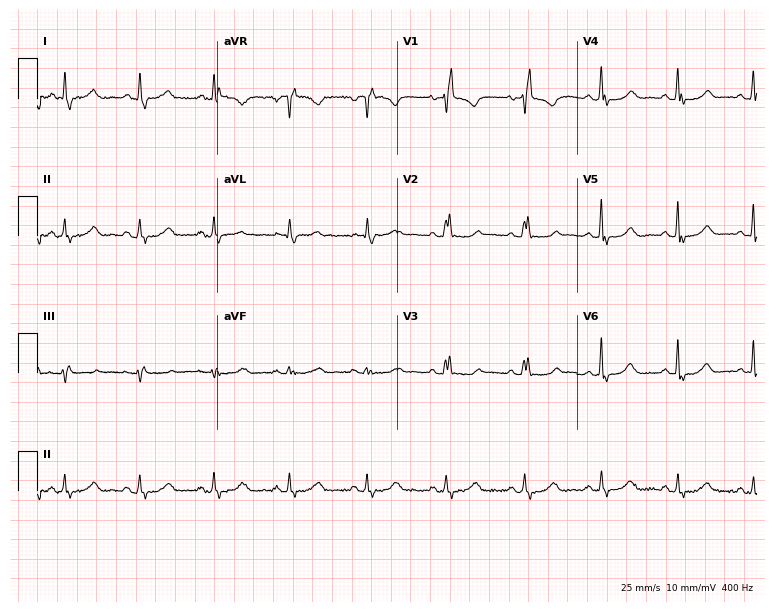
ECG (7.3-second recording at 400 Hz) — a female, 64 years old. Findings include right bundle branch block.